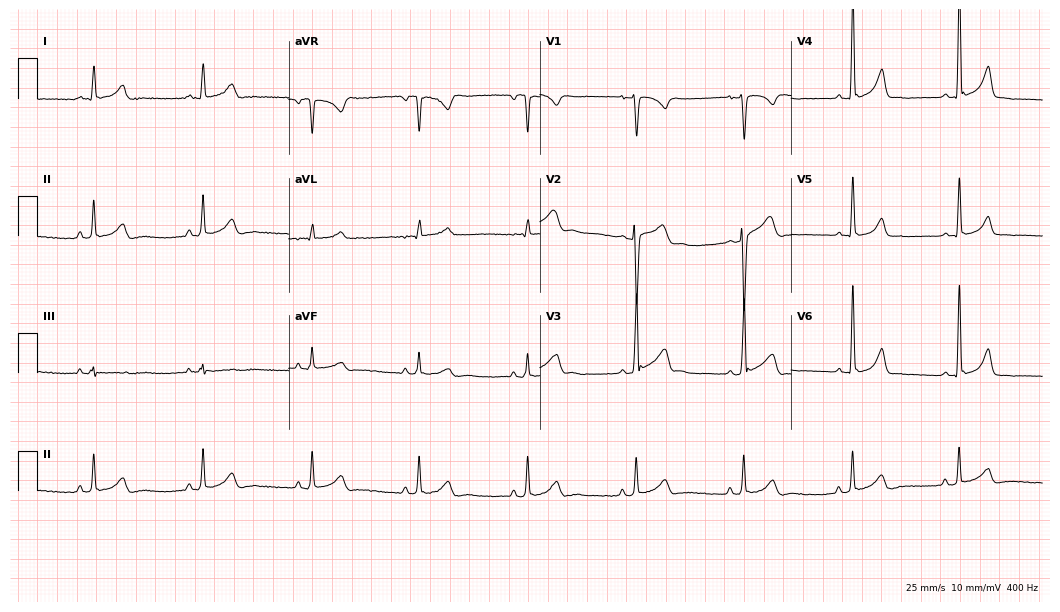
12-lead ECG from a 28-year-old male. Recorded interpretation: within normal limits.